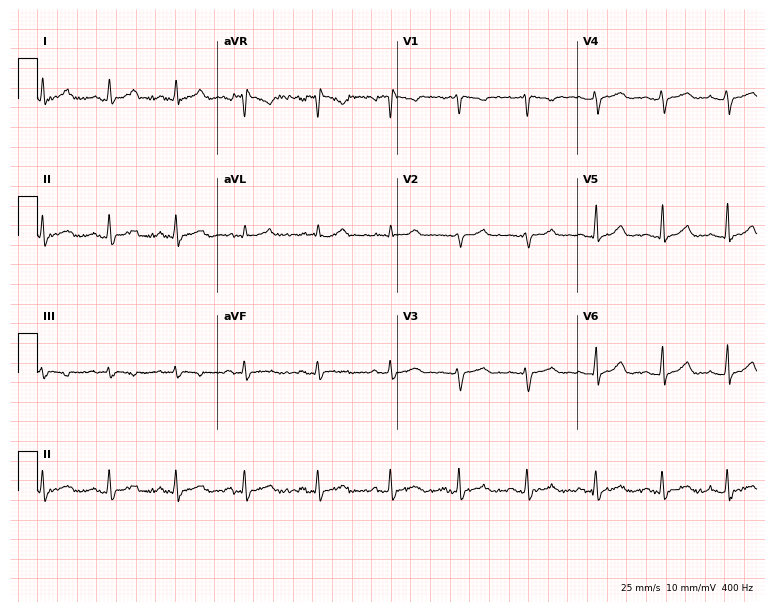
ECG — a female, 38 years old. Labelled as a normal ECG.